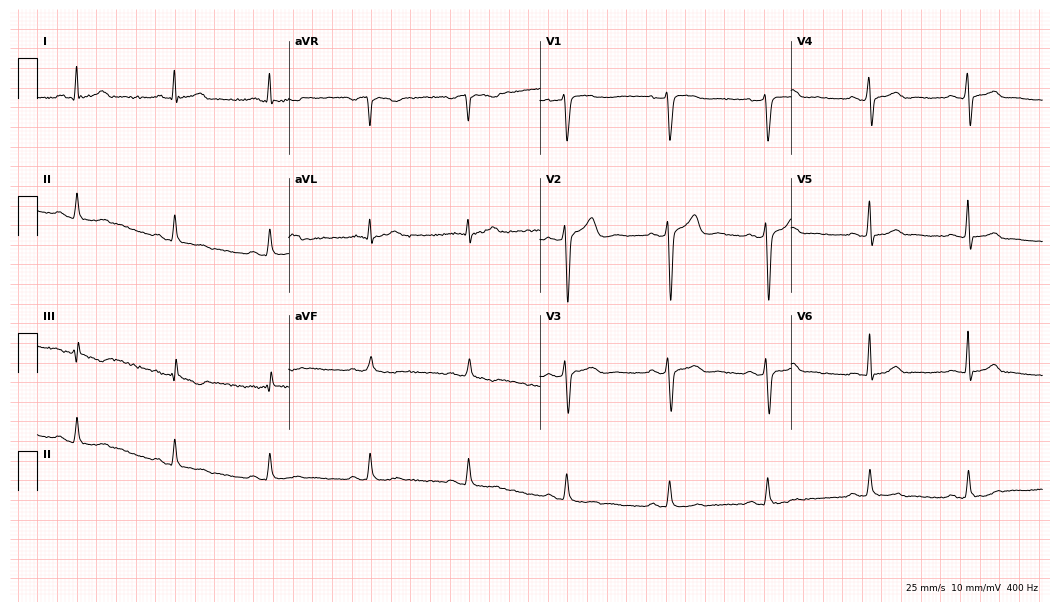
Electrocardiogram, a 54-year-old male. Of the six screened findings (first-degree AV block, right bundle branch block, left bundle branch block, sinus bradycardia, atrial fibrillation, sinus tachycardia), none is recorded. Other findings, if any, are not listed.